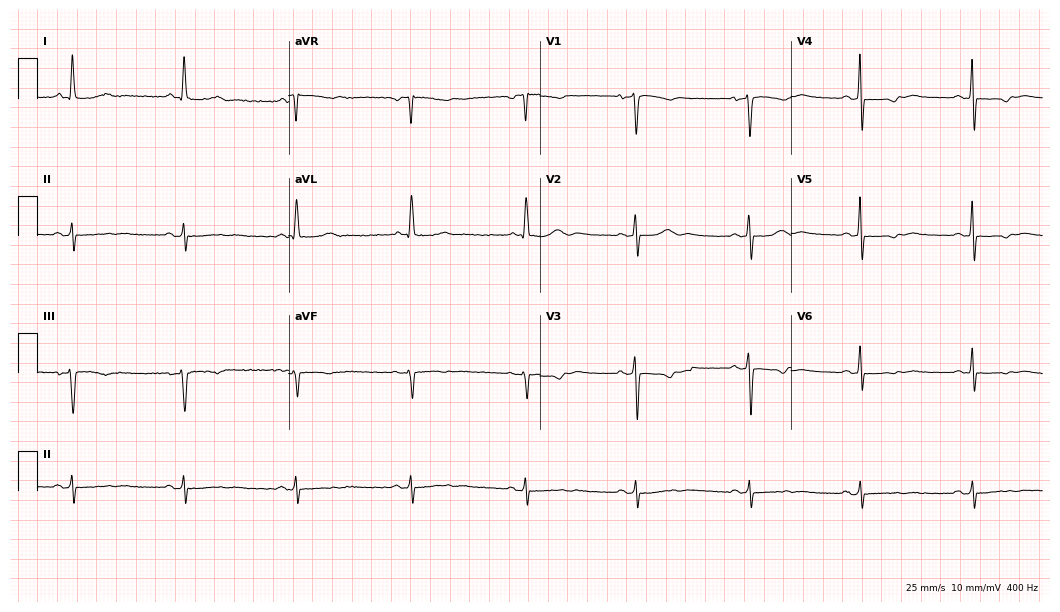
12-lead ECG from a female patient, 76 years old. Screened for six findings — first-degree AV block, right bundle branch block, left bundle branch block, sinus bradycardia, atrial fibrillation, sinus tachycardia — none is recorded. Other findings, if any, are not listed.